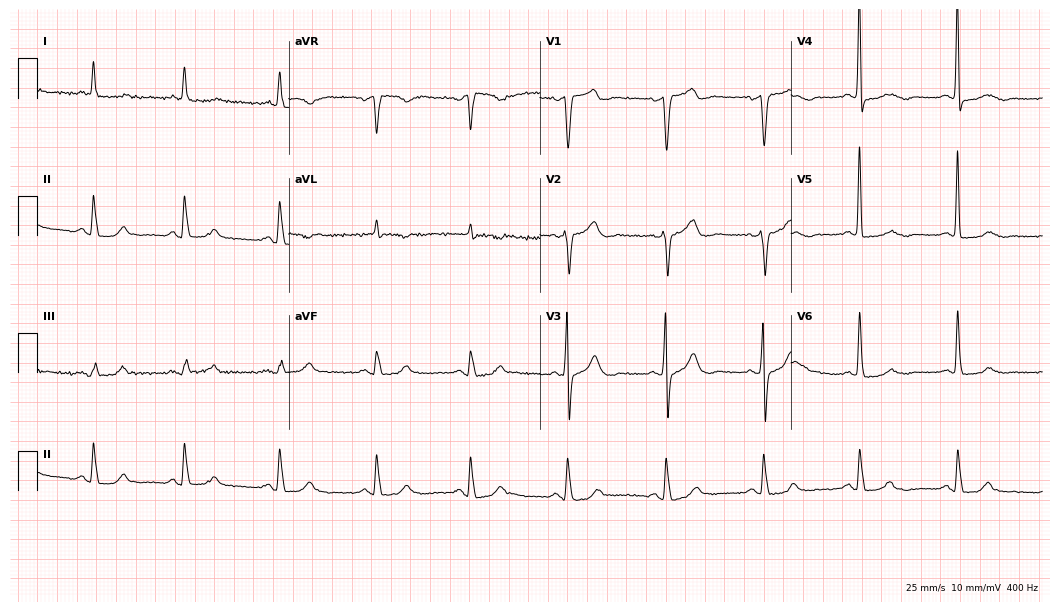
Resting 12-lead electrocardiogram (10.2-second recording at 400 Hz). Patient: a 70-year-old female. None of these six findings is recorded: first-degree AV block, right bundle branch block, left bundle branch block, sinus bradycardia, atrial fibrillation, sinus tachycardia. Findings outside these six are not listed.